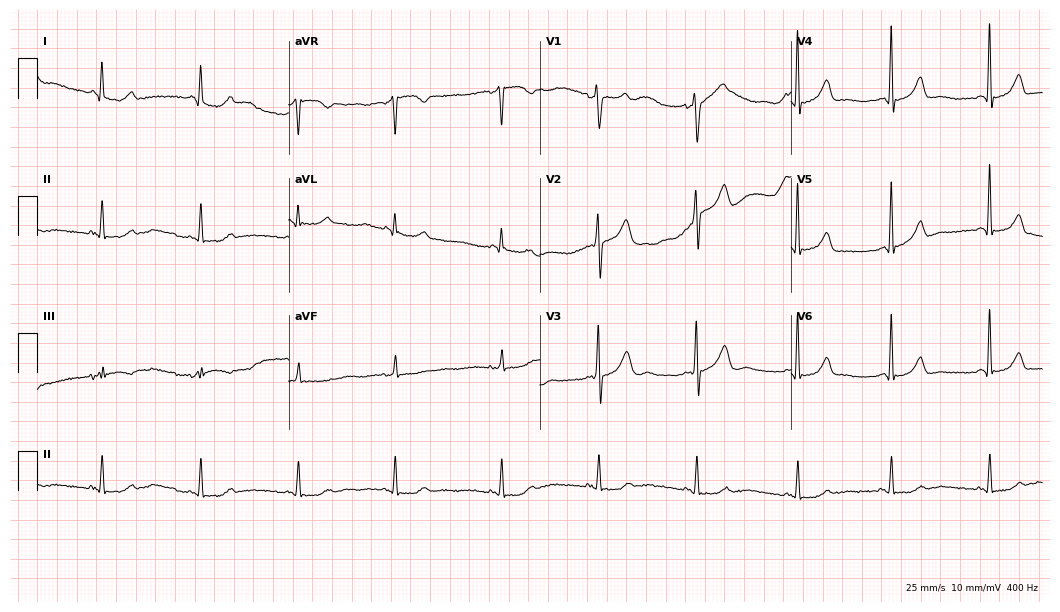
12-lead ECG (10.2-second recording at 400 Hz) from a 23-year-old female. Screened for six findings — first-degree AV block, right bundle branch block, left bundle branch block, sinus bradycardia, atrial fibrillation, sinus tachycardia — none is recorded.